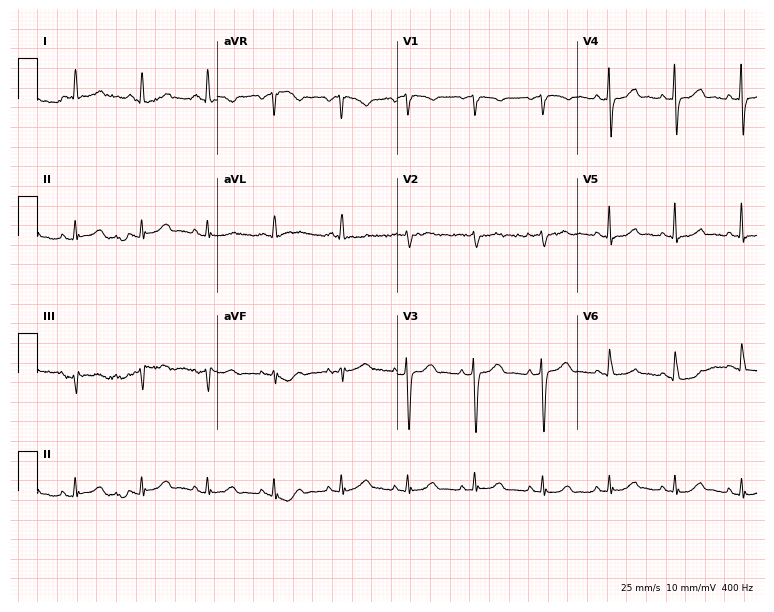
ECG — a 68-year-old woman. Screened for six findings — first-degree AV block, right bundle branch block, left bundle branch block, sinus bradycardia, atrial fibrillation, sinus tachycardia — none is recorded. Only these six findings were labelled.